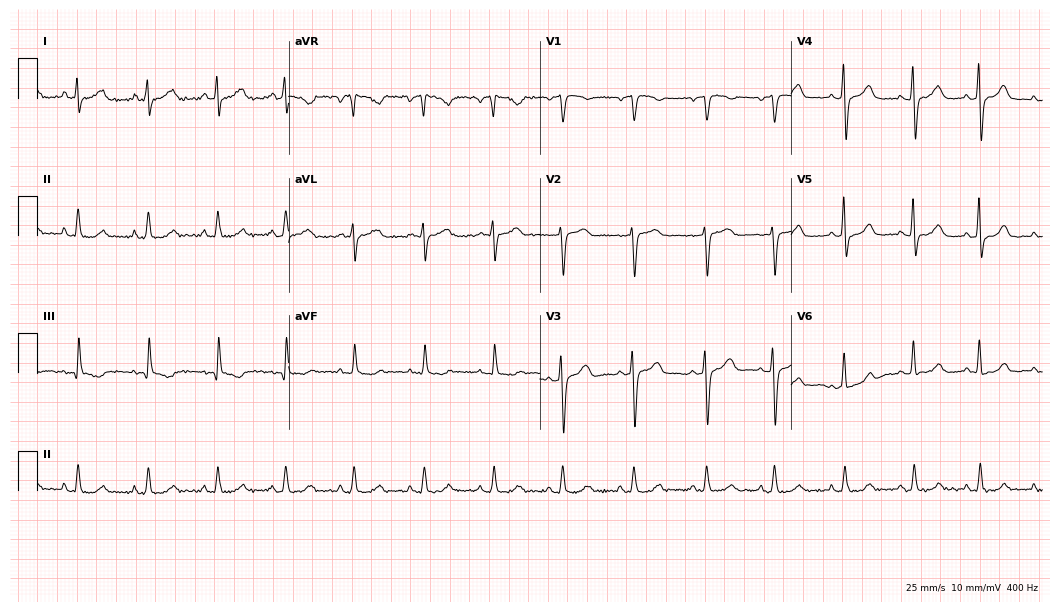
12-lead ECG from a female patient, 59 years old (10.2-second recording at 400 Hz). Recorded interpretation: within normal limits.